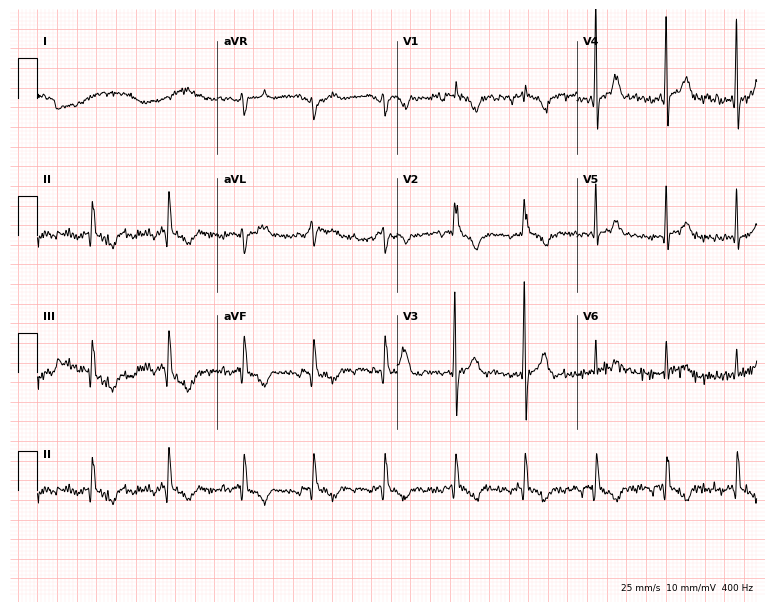
ECG (7.3-second recording at 400 Hz) — a 34-year-old male. Screened for six findings — first-degree AV block, right bundle branch block, left bundle branch block, sinus bradycardia, atrial fibrillation, sinus tachycardia — none is recorded.